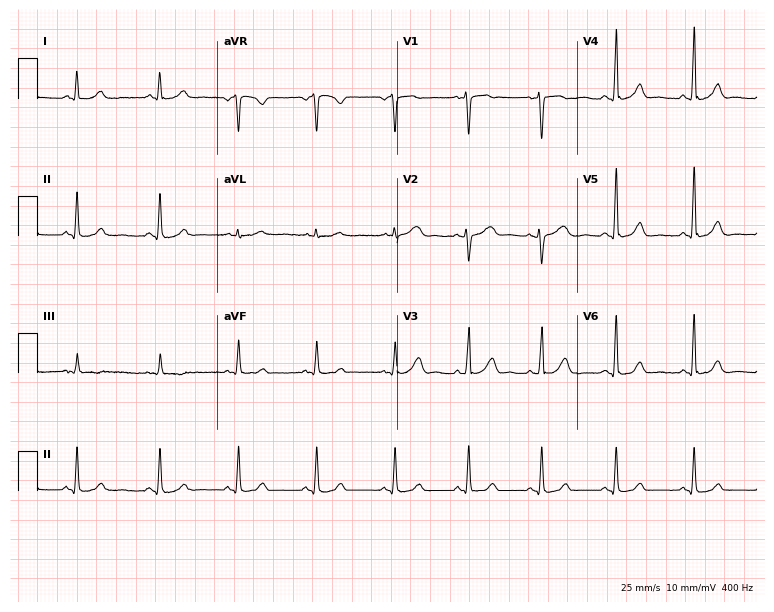
Standard 12-lead ECG recorded from a woman, 47 years old. Read as a normal ECG.